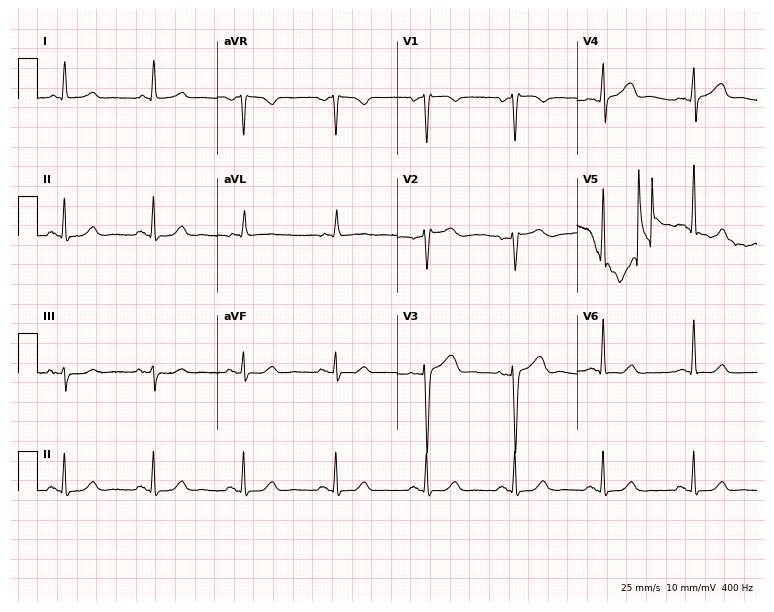
Electrocardiogram, a female, 66 years old. Overall reading on record: normal ECG.